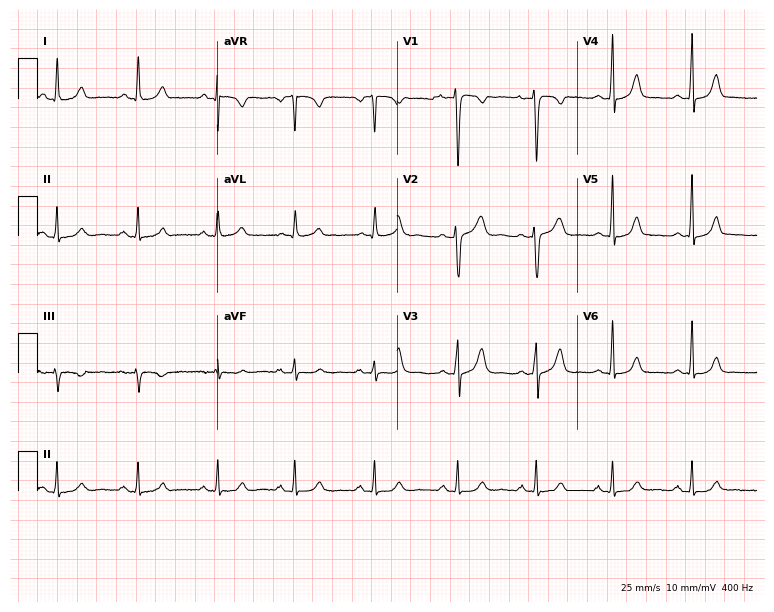
Standard 12-lead ECG recorded from a 38-year-old female patient. None of these six findings is recorded: first-degree AV block, right bundle branch block, left bundle branch block, sinus bradycardia, atrial fibrillation, sinus tachycardia. Findings outside these six are not listed.